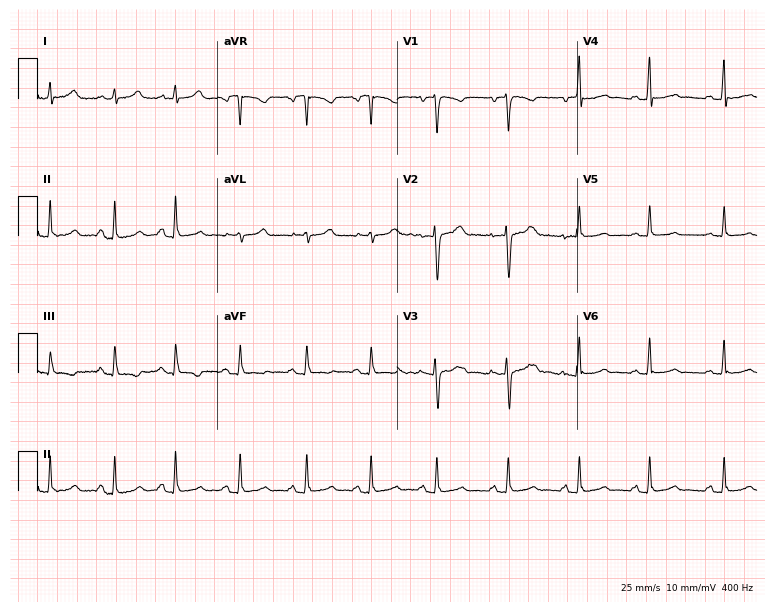
Standard 12-lead ECG recorded from a 30-year-old female. None of these six findings is recorded: first-degree AV block, right bundle branch block (RBBB), left bundle branch block (LBBB), sinus bradycardia, atrial fibrillation (AF), sinus tachycardia. Findings outside these six are not listed.